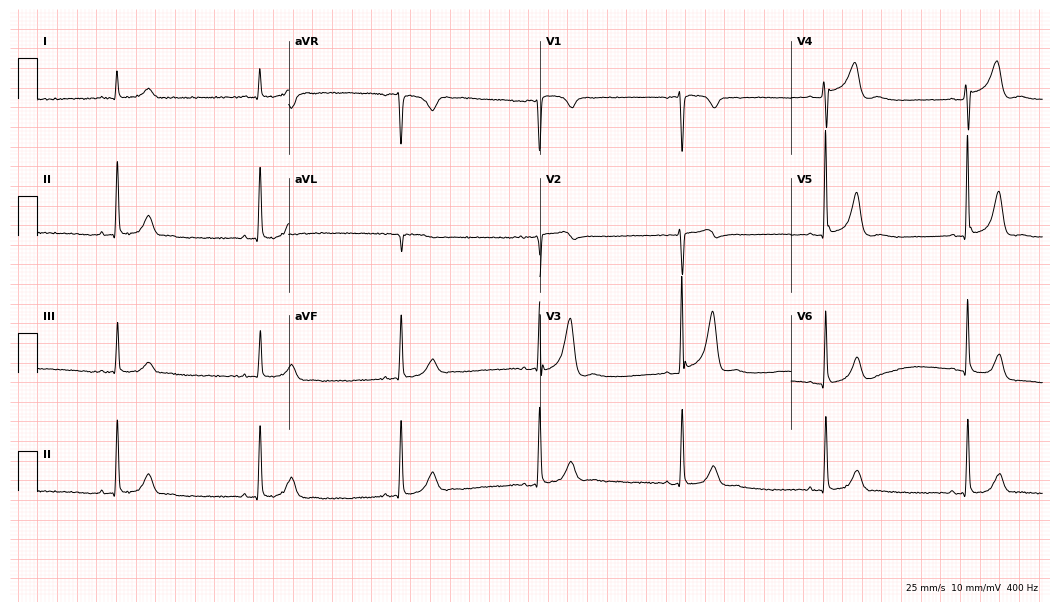
Resting 12-lead electrocardiogram (10.2-second recording at 400 Hz). Patient: an 83-year-old female. The tracing shows sinus bradycardia (a sinus rate of 50 beats per minute or less).